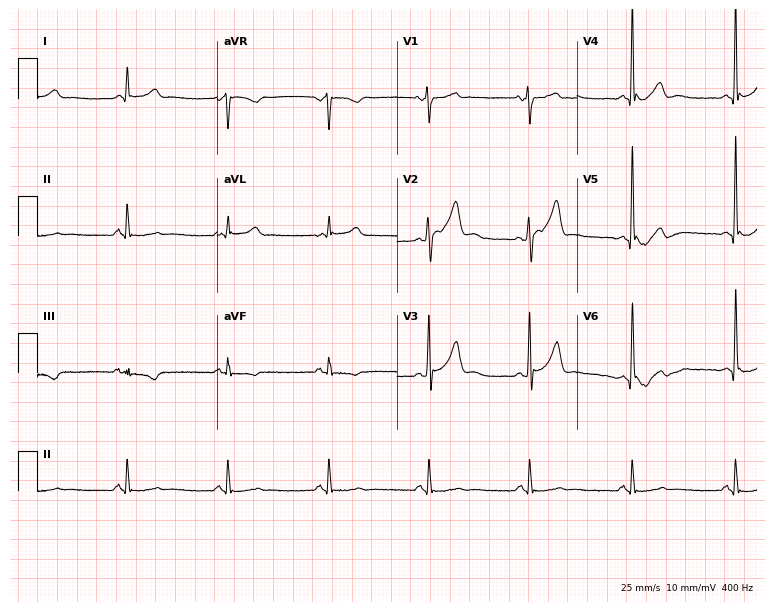
Electrocardiogram, a 46-year-old male. Of the six screened findings (first-degree AV block, right bundle branch block, left bundle branch block, sinus bradycardia, atrial fibrillation, sinus tachycardia), none is recorded.